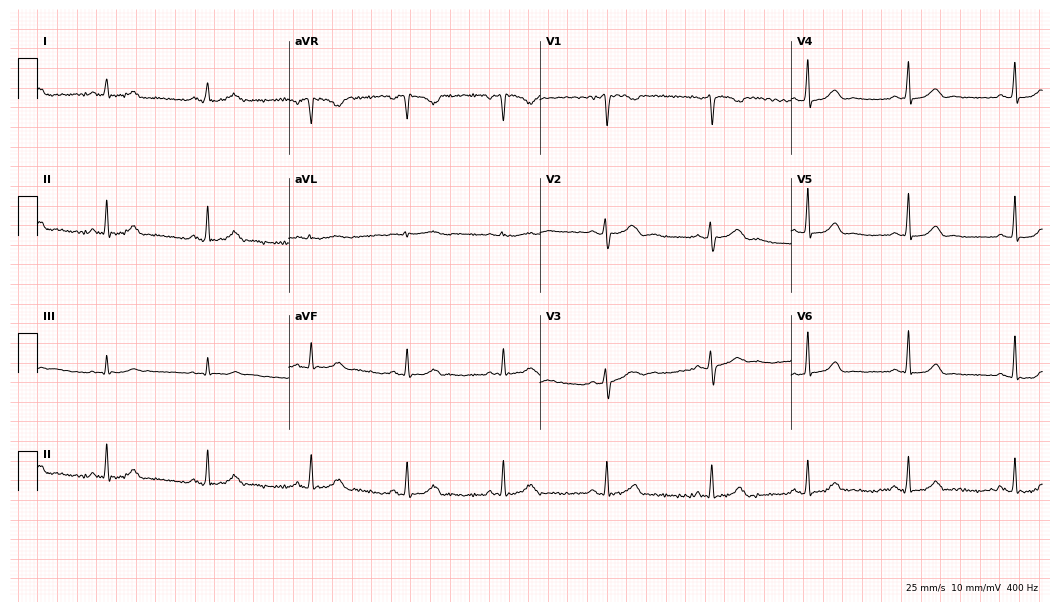
Resting 12-lead electrocardiogram (10.2-second recording at 400 Hz). Patient: a female, 30 years old. Read as a normal ECG.